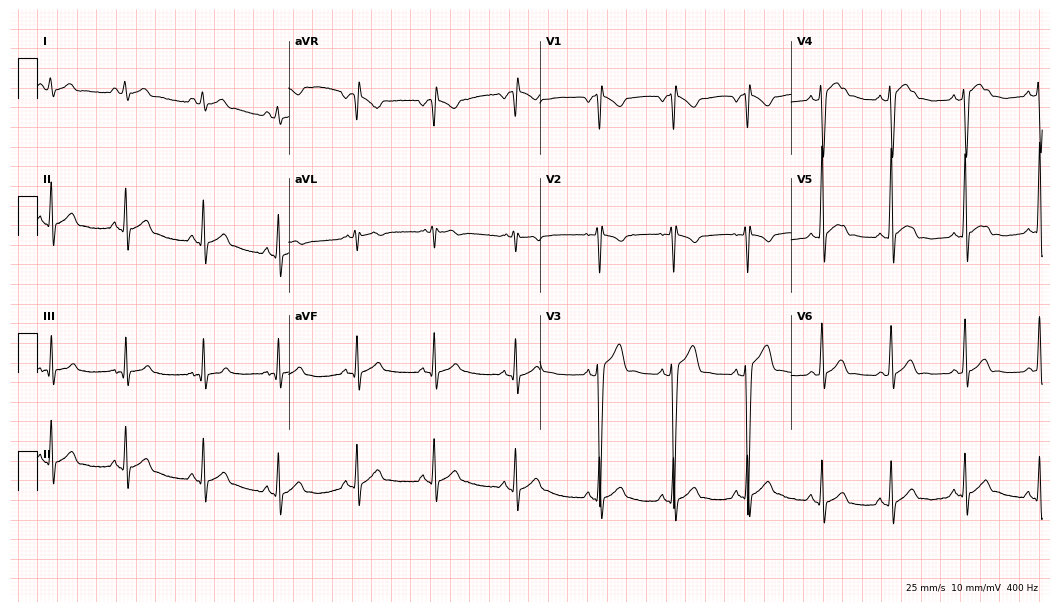
Resting 12-lead electrocardiogram (10.2-second recording at 400 Hz). Patient: a 22-year-old man. Read as a normal ECG.